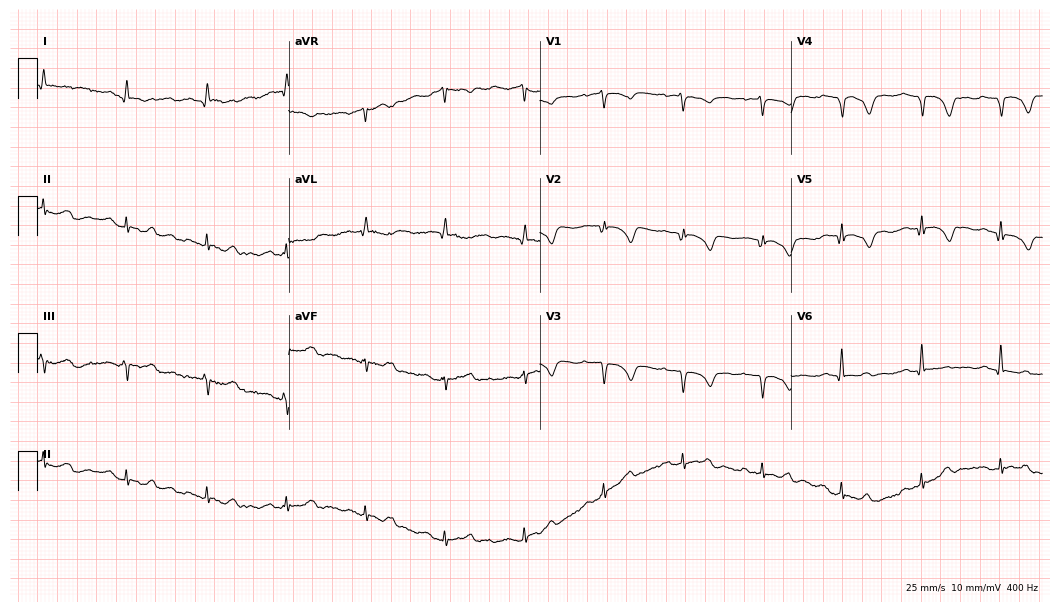
12-lead ECG (10.2-second recording at 400 Hz) from a male patient, 84 years old. Screened for six findings — first-degree AV block, right bundle branch block, left bundle branch block, sinus bradycardia, atrial fibrillation, sinus tachycardia — none is recorded.